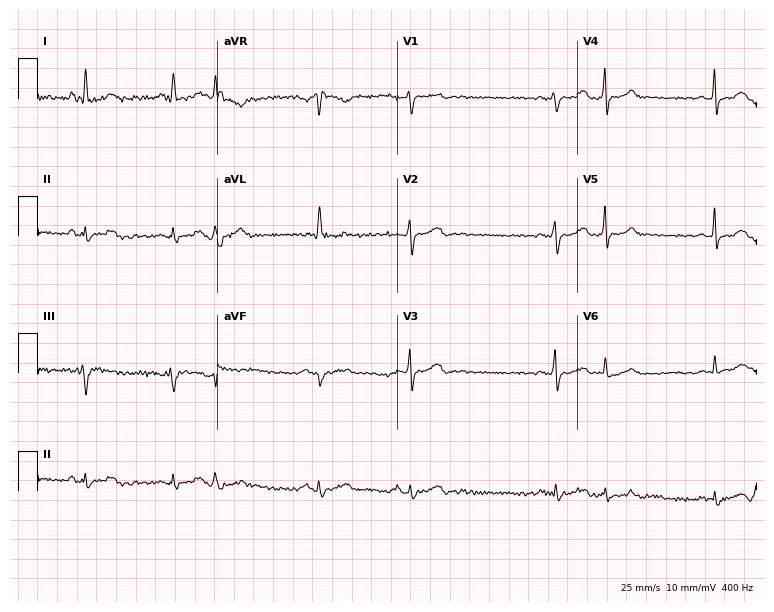
12-lead ECG from a female patient, 57 years old. No first-degree AV block, right bundle branch block, left bundle branch block, sinus bradycardia, atrial fibrillation or sinus tachycardia recorded for this tracing.